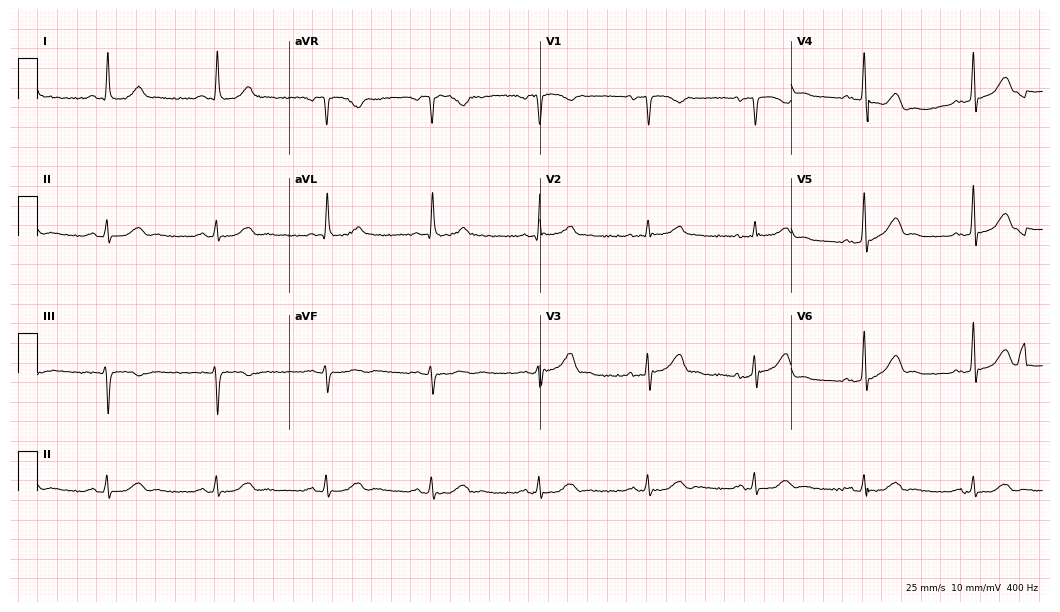
ECG (10.2-second recording at 400 Hz) — a 68-year-old male patient. Labelled as a normal ECG.